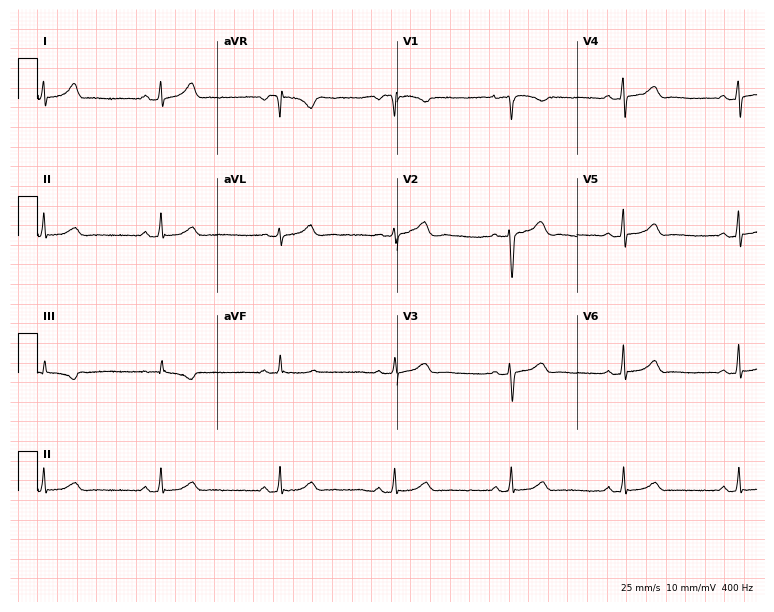
Standard 12-lead ECG recorded from a female patient, 31 years old (7.3-second recording at 400 Hz). Read as a normal ECG.